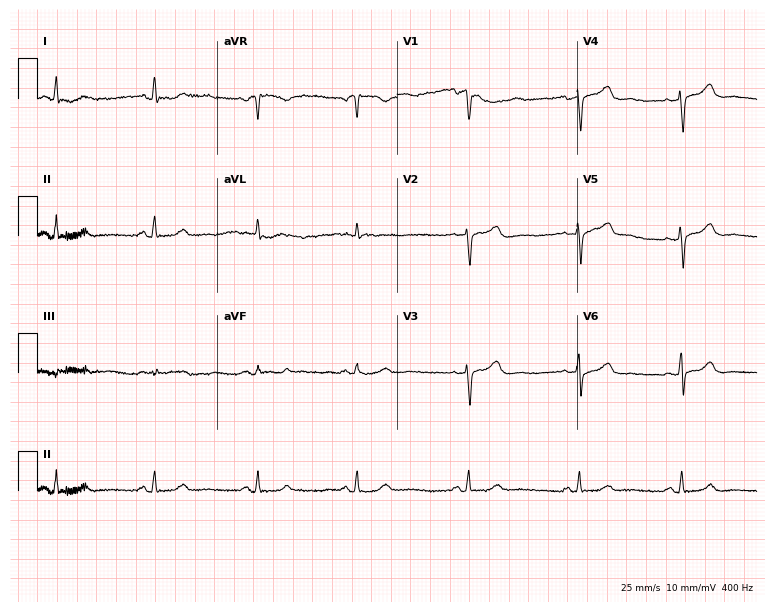
Electrocardiogram, a 43-year-old female. Of the six screened findings (first-degree AV block, right bundle branch block, left bundle branch block, sinus bradycardia, atrial fibrillation, sinus tachycardia), none is recorded.